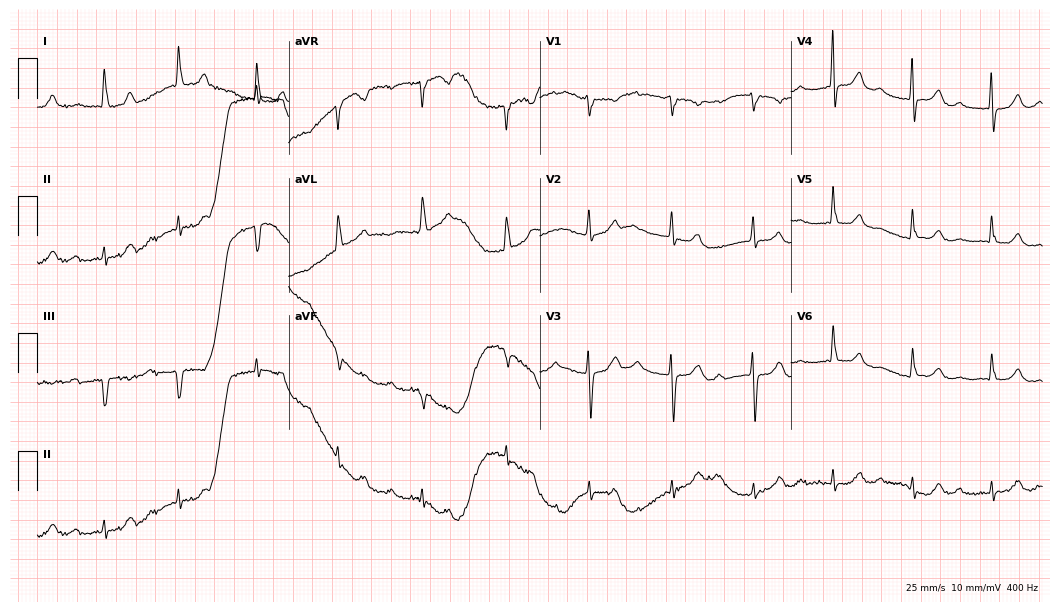
12-lead ECG from a female patient, 79 years old. Findings include first-degree AV block.